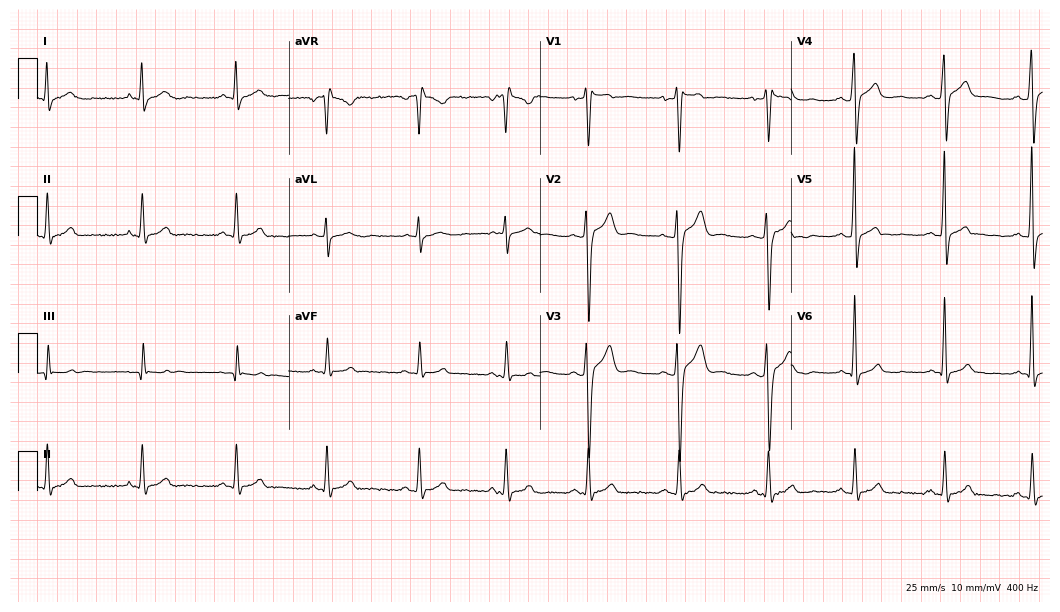
12-lead ECG from a man, 29 years old. Screened for six findings — first-degree AV block, right bundle branch block (RBBB), left bundle branch block (LBBB), sinus bradycardia, atrial fibrillation (AF), sinus tachycardia — none is recorded.